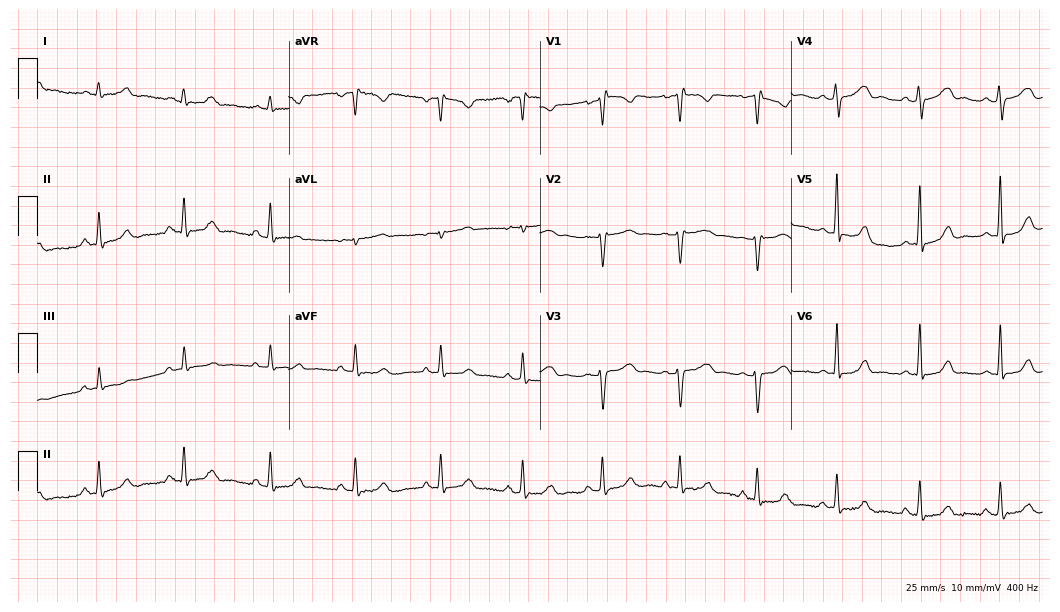
12-lead ECG from a female, 34 years old (10.2-second recording at 400 Hz). No first-degree AV block, right bundle branch block (RBBB), left bundle branch block (LBBB), sinus bradycardia, atrial fibrillation (AF) or sinus tachycardia recorded for this tracing.